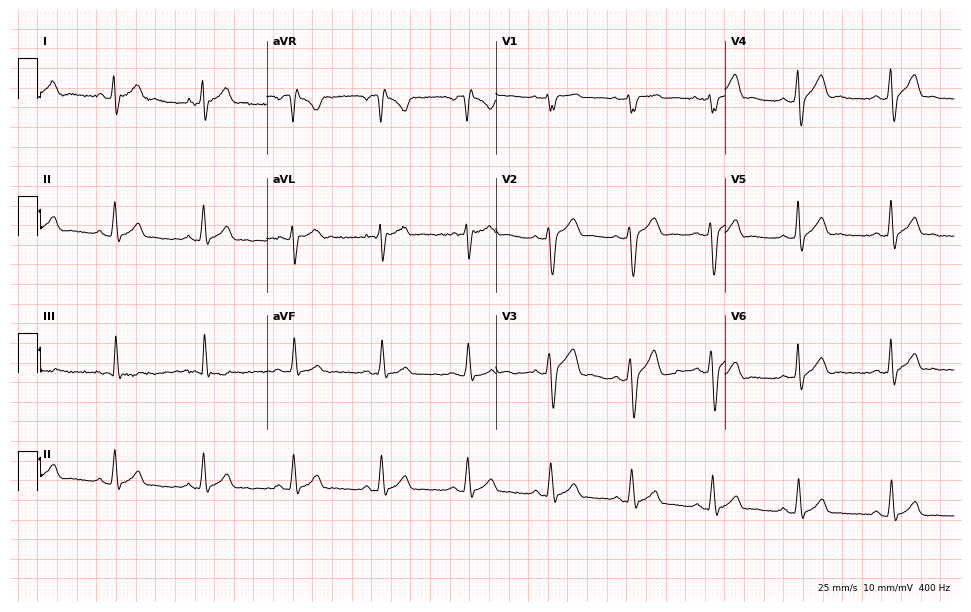
12-lead ECG (9.3-second recording at 400 Hz) from a man, 22 years old. Screened for six findings — first-degree AV block, right bundle branch block, left bundle branch block, sinus bradycardia, atrial fibrillation, sinus tachycardia — none is recorded. Findings outside these six are not listed.